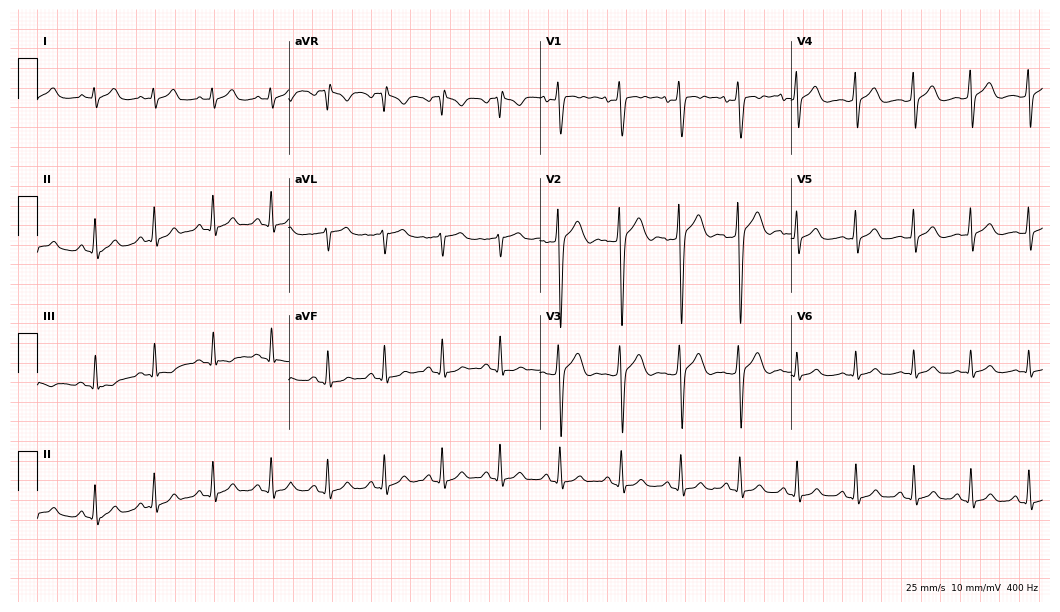
12-lead ECG from a male, 18 years old. Findings include sinus tachycardia (a sinus rate of 100 beats per minute or more).